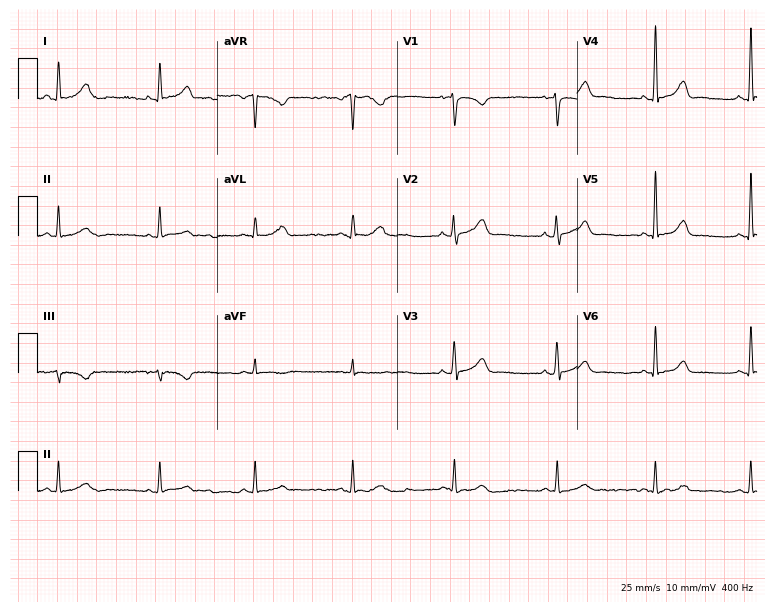
Resting 12-lead electrocardiogram (7.3-second recording at 400 Hz). Patient: a woman, 46 years old. Read as a normal ECG.